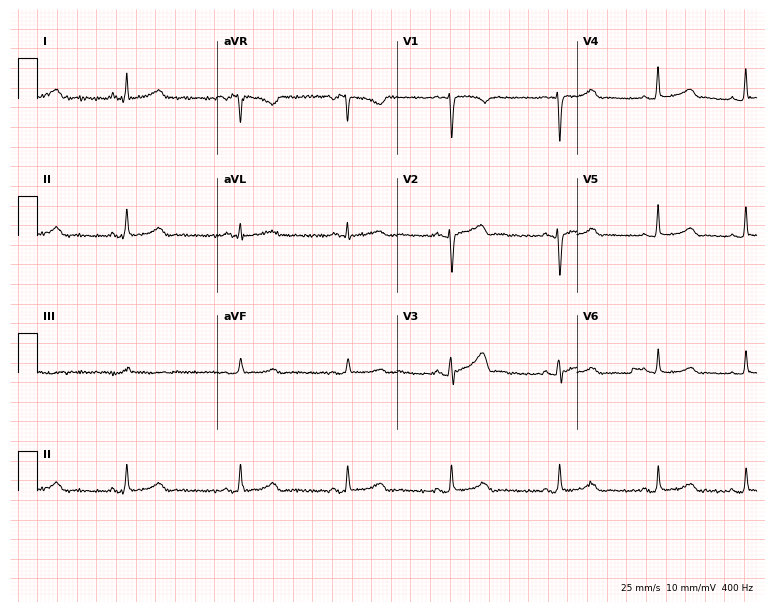
12-lead ECG (7.3-second recording at 400 Hz) from a 22-year-old woman. Labelled as a normal ECG.